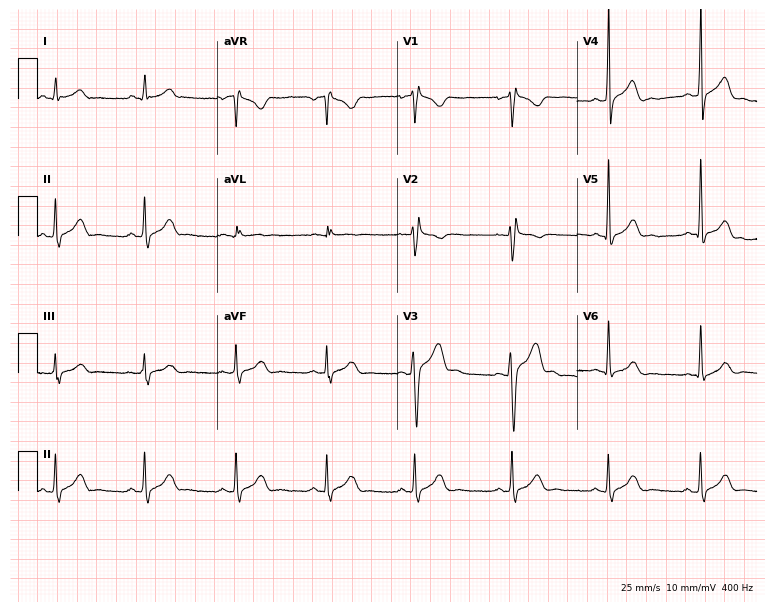
12-lead ECG from a man, 31 years old (7.3-second recording at 400 Hz). No first-degree AV block, right bundle branch block (RBBB), left bundle branch block (LBBB), sinus bradycardia, atrial fibrillation (AF) or sinus tachycardia recorded for this tracing. Findings outside these six are not listed.